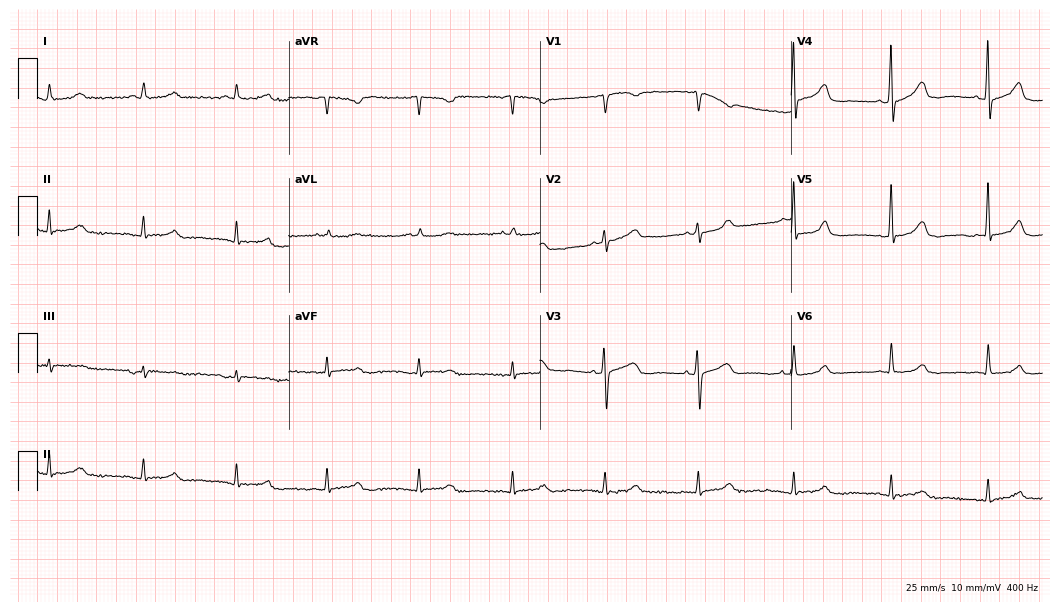
12-lead ECG from a woman, 63 years old. Recorded interpretation: within normal limits.